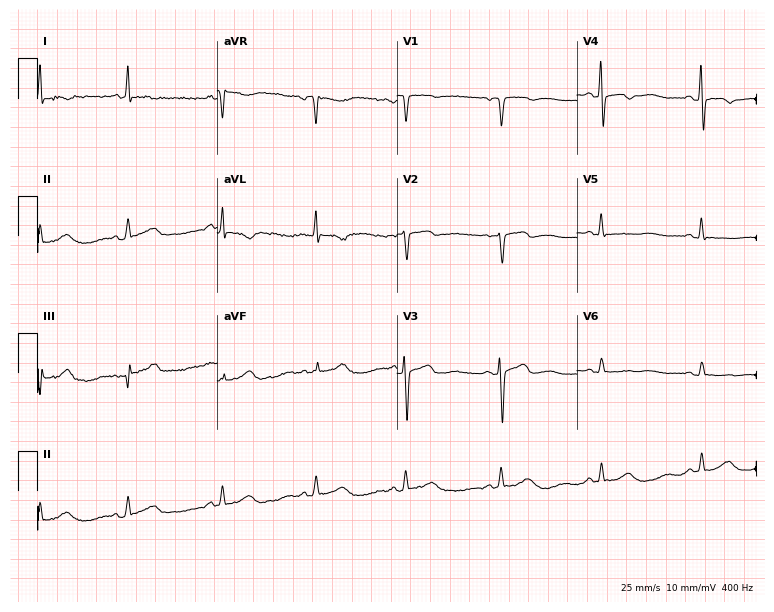
Resting 12-lead electrocardiogram (7.3-second recording at 400 Hz). Patient: a female, 54 years old. None of these six findings is recorded: first-degree AV block, right bundle branch block, left bundle branch block, sinus bradycardia, atrial fibrillation, sinus tachycardia.